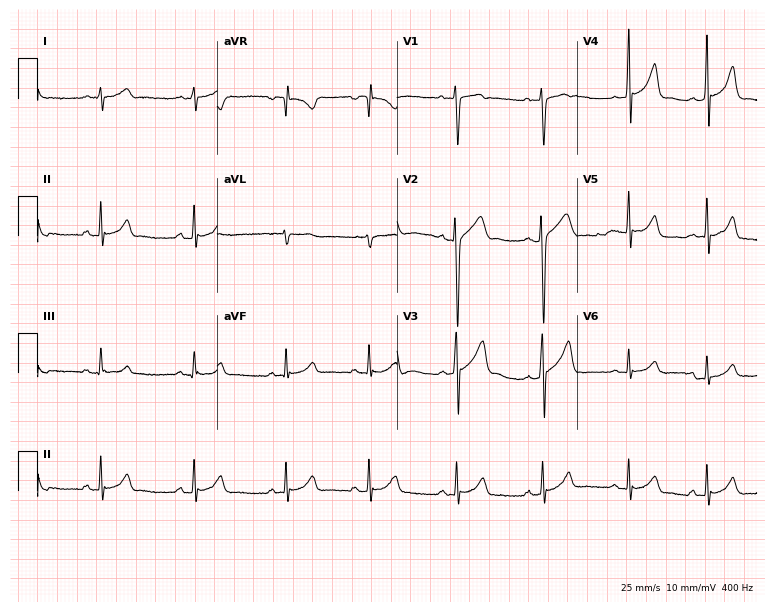
Standard 12-lead ECG recorded from a man, 17 years old. Read as a normal ECG.